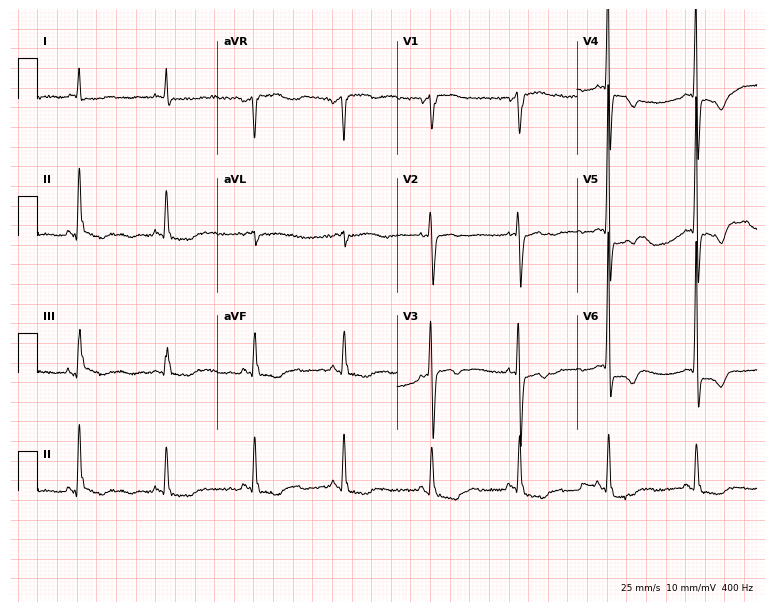
Electrocardiogram, a female, 77 years old. Of the six screened findings (first-degree AV block, right bundle branch block, left bundle branch block, sinus bradycardia, atrial fibrillation, sinus tachycardia), none is recorded. Findings outside these six are not listed.